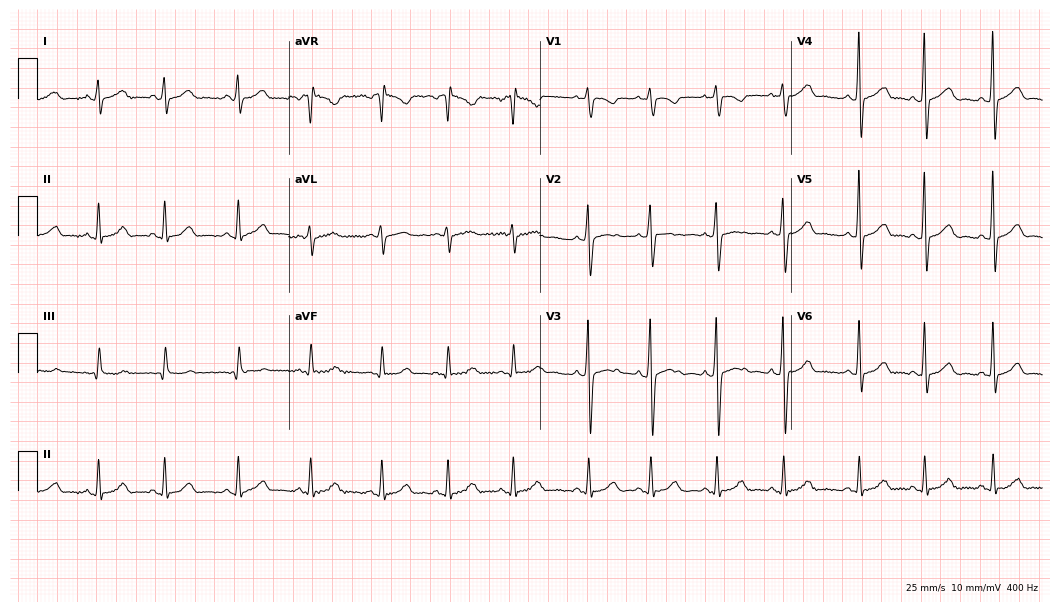
12-lead ECG from a woman, 23 years old (10.2-second recording at 400 Hz). No first-degree AV block, right bundle branch block, left bundle branch block, sinus bradycardia, atrial fibrillation or sinus tachycardia recorded for this tracing.